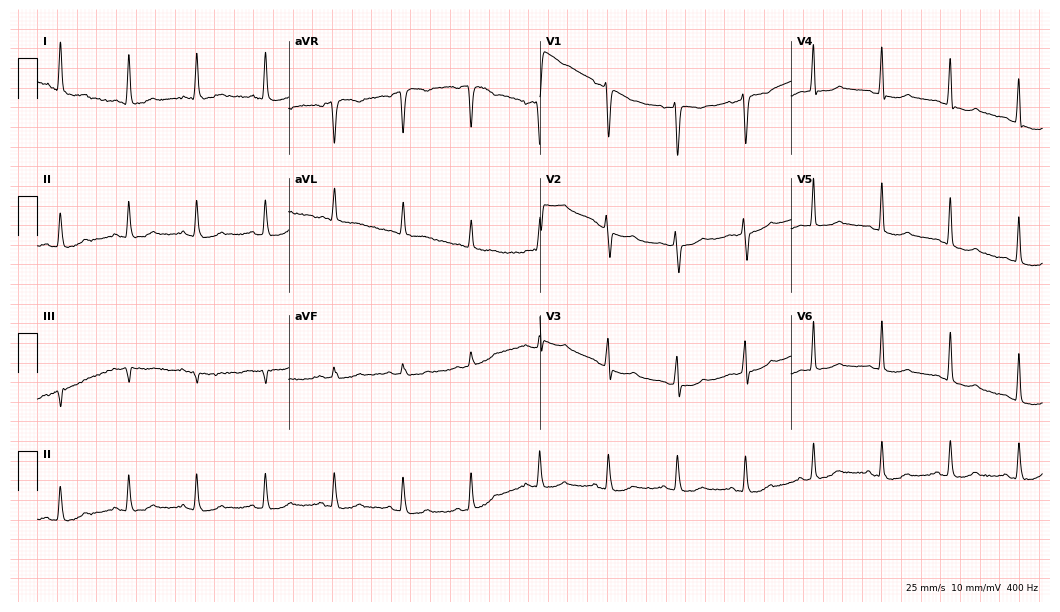
12-lead ECG (10.2-second recording at 400 Hz) from a female, 46 years old. Labelled as a normal ECG.